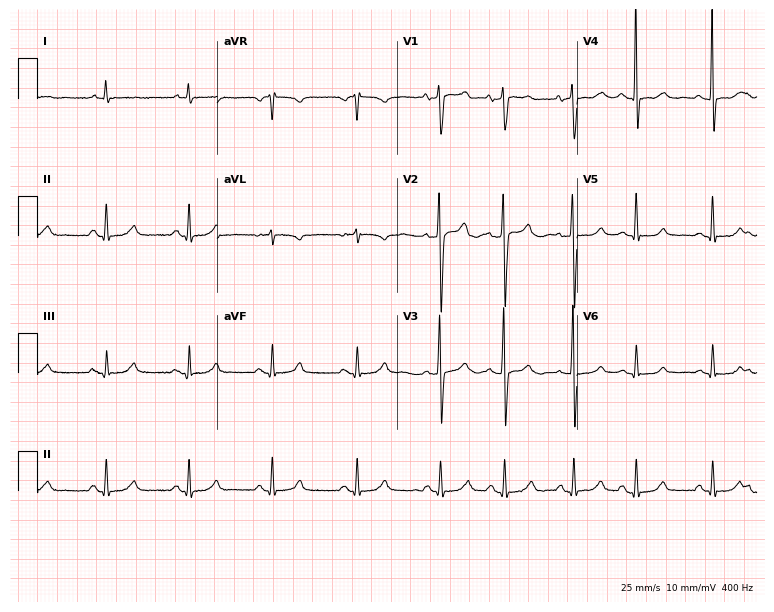
ECG (7.3-second recording at 400 Hz) — a man, 61 years old. Screened for six findings — first-degree AV block, right bundle branch block, left bundle branch block, sinus bradycardia, atrial fibrillation, sinus tachycardia — none is recorded.